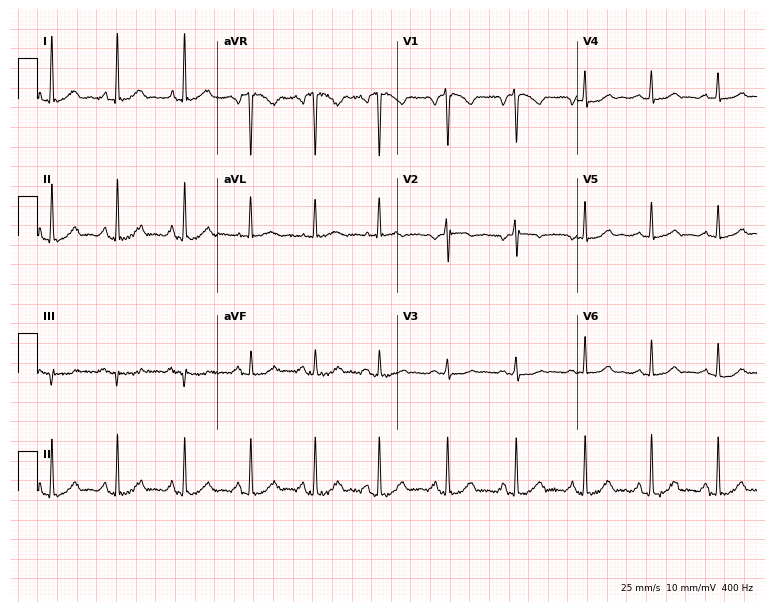
12-lead ECG from a 41-year-old female patient. Recorded interpretation: within normal limits.